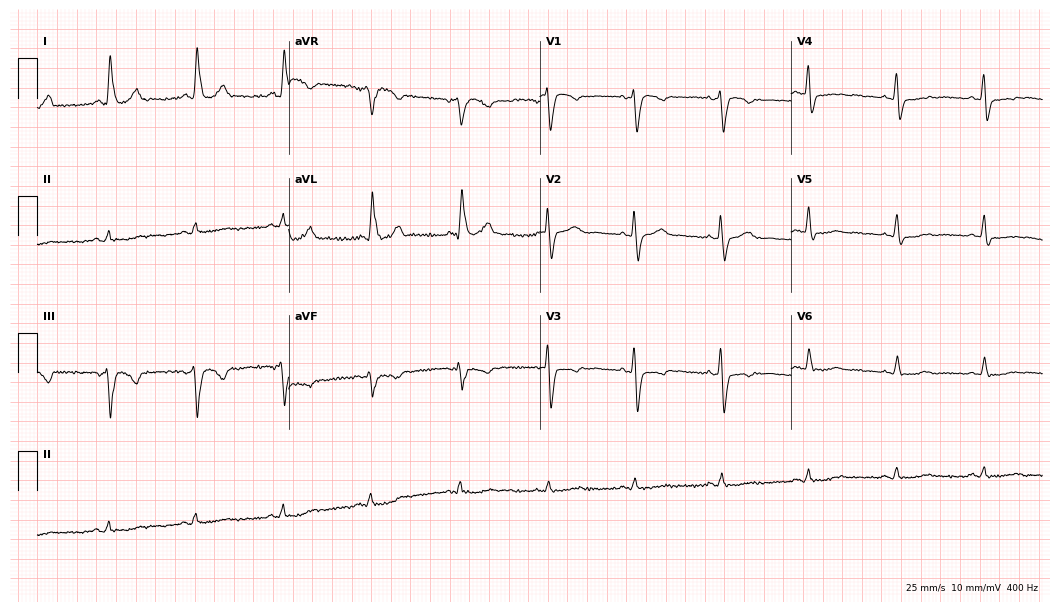
12-lead ECG from a female patient, 73 years old (10.2-second recording at 400 Hz). No first-degree AV block, right bundle branch block (RBBB), left bundle branch block (LBBB), sinus bradycardia, atrial fibrillation (AF) or sinus tachycardia recorded for this tracing. Only these six findings were labelled.